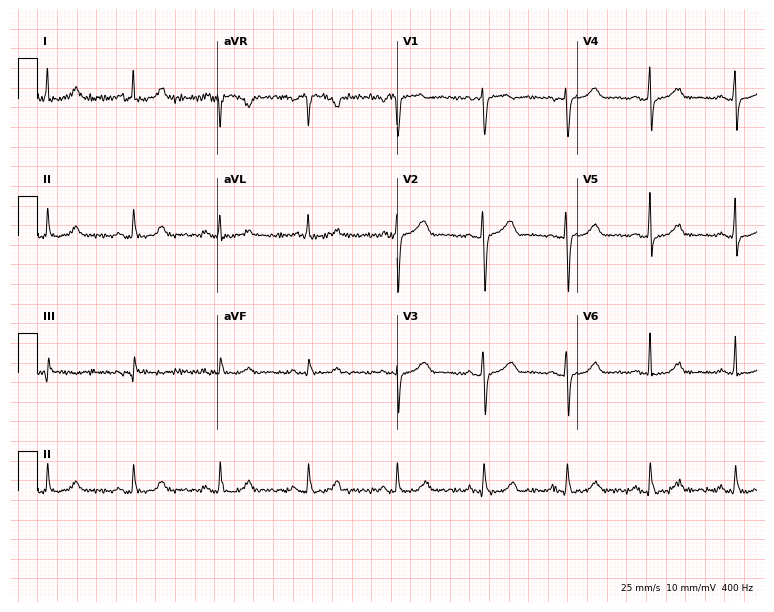
12-lead ECG from a 47-year-old woman. Recorded interpretation: within normal limits.